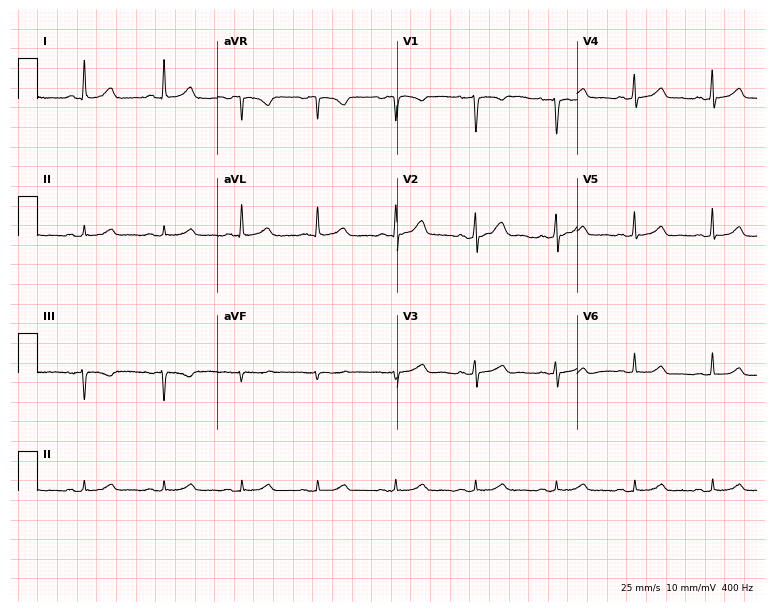
Standard 12-lead ECG recorded from a woman, 48 years old. Read as a normal ECG.